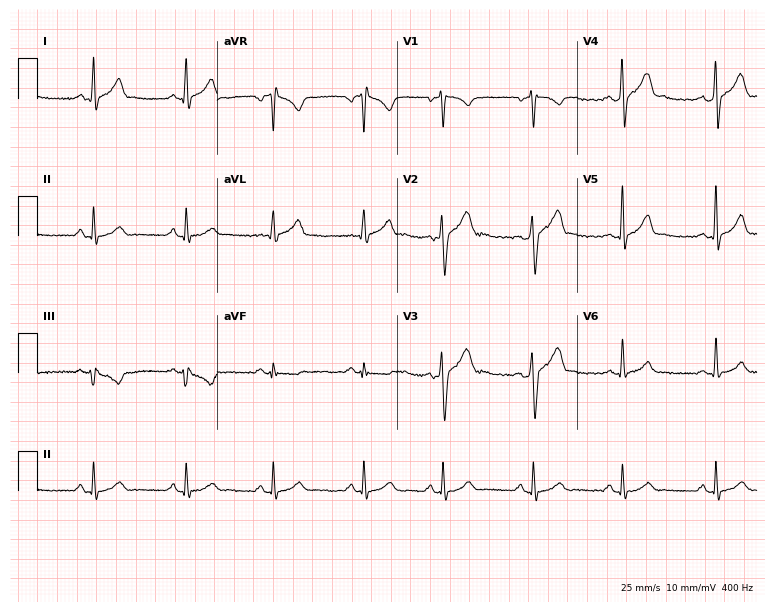
12-lead ECG from a male patient, 39 years old. Recorded interpretation: within normal limits.